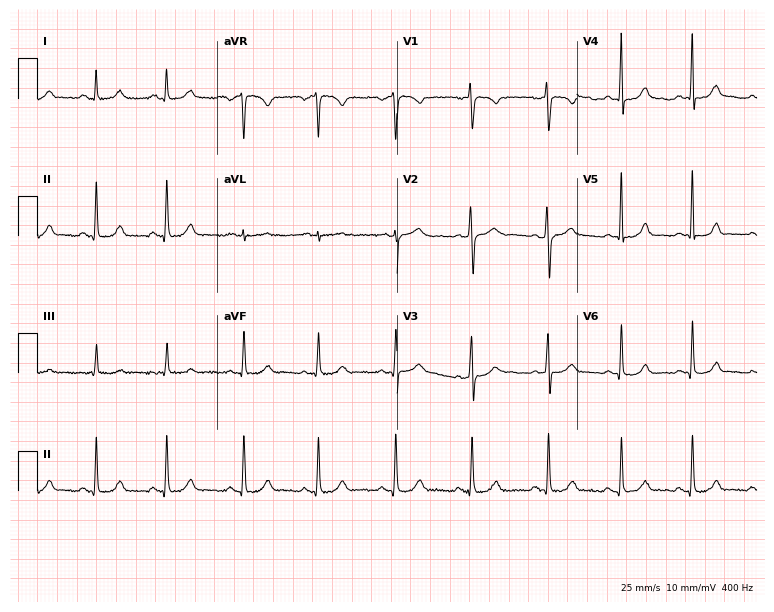
12-lead ECG from a 25-year-old female. Labelled as a normal ECG.